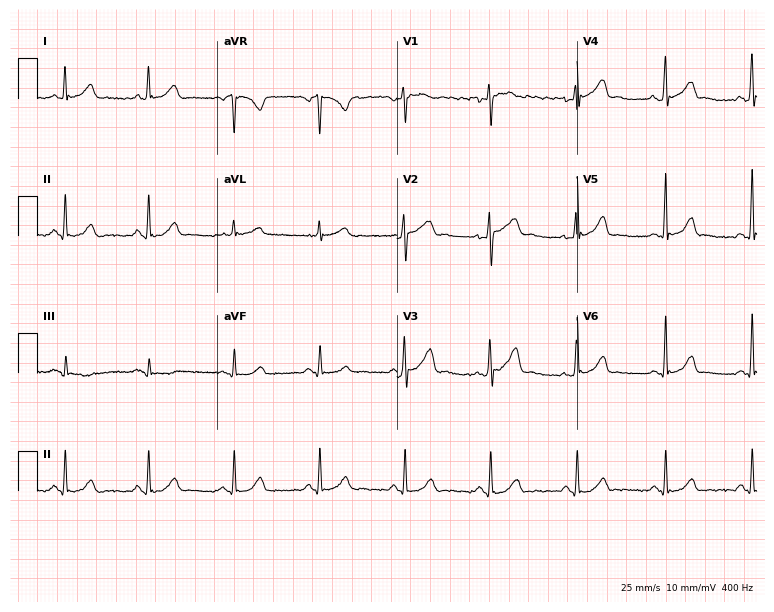
Electrocardiogram, a 45-year-old woman. Overall reading on record: normal ECG.